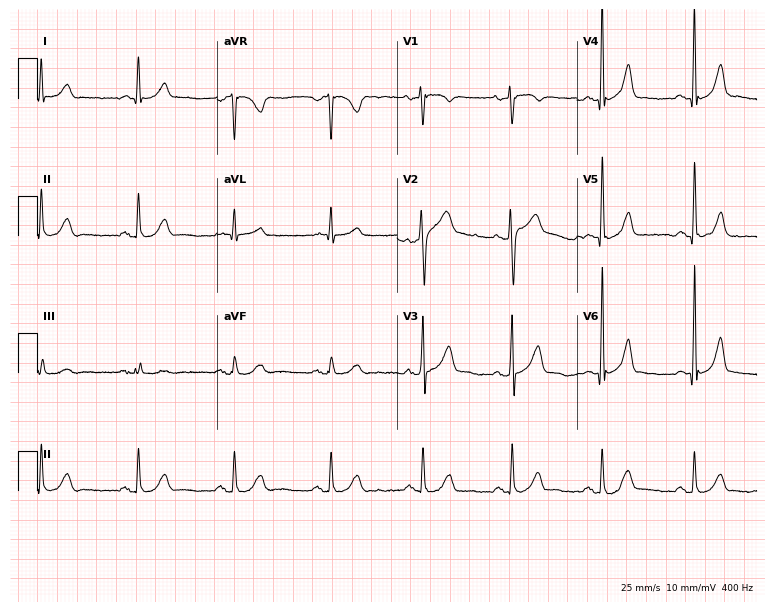
12-lead ECG from a male patient, 68 years old. Recorded interpretation: within normal limits.